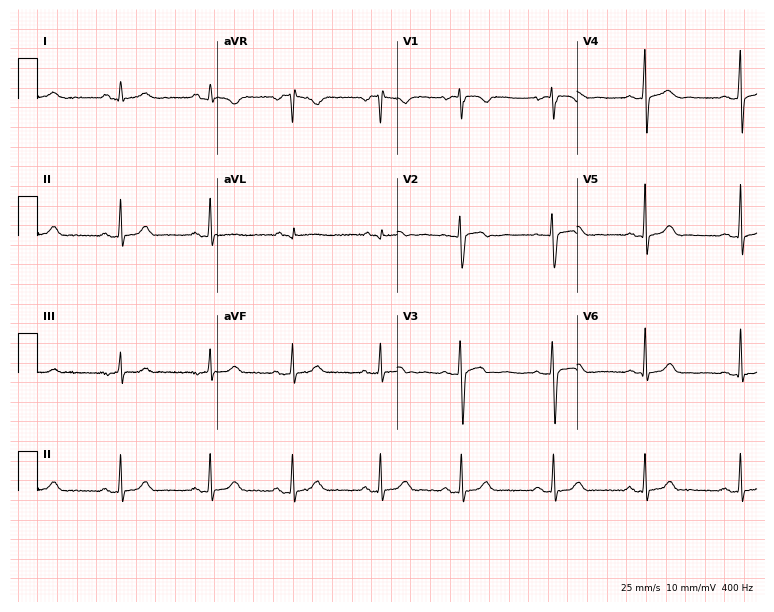
Resting 12-lead electrocardiogram. Patient: an 18-year-old woman. Read as a normal ECG.